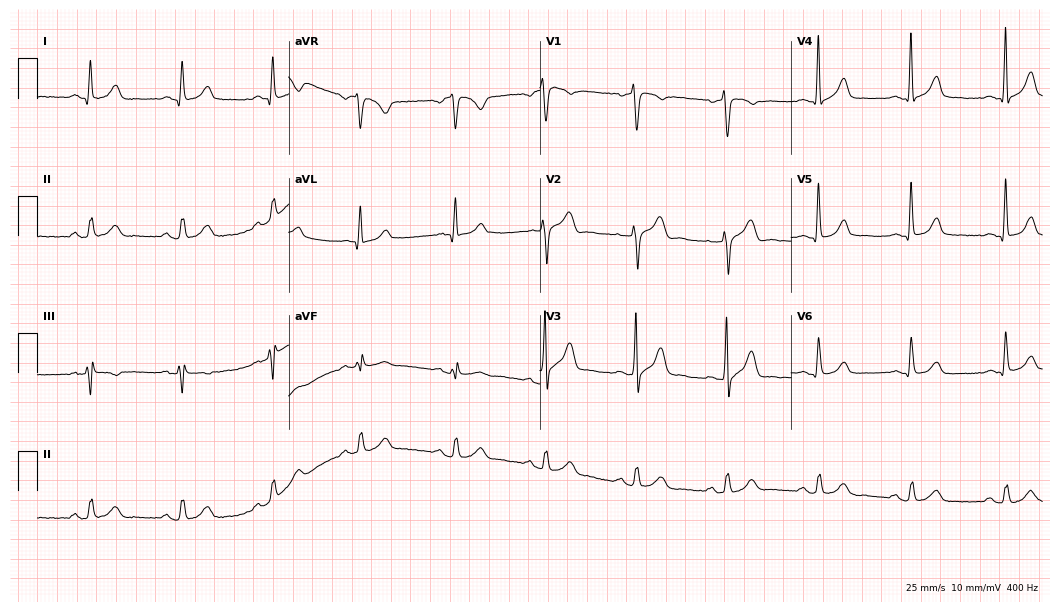
12-lead ECG from a 32-year-old male. Recorded interpretation: within normal limits.